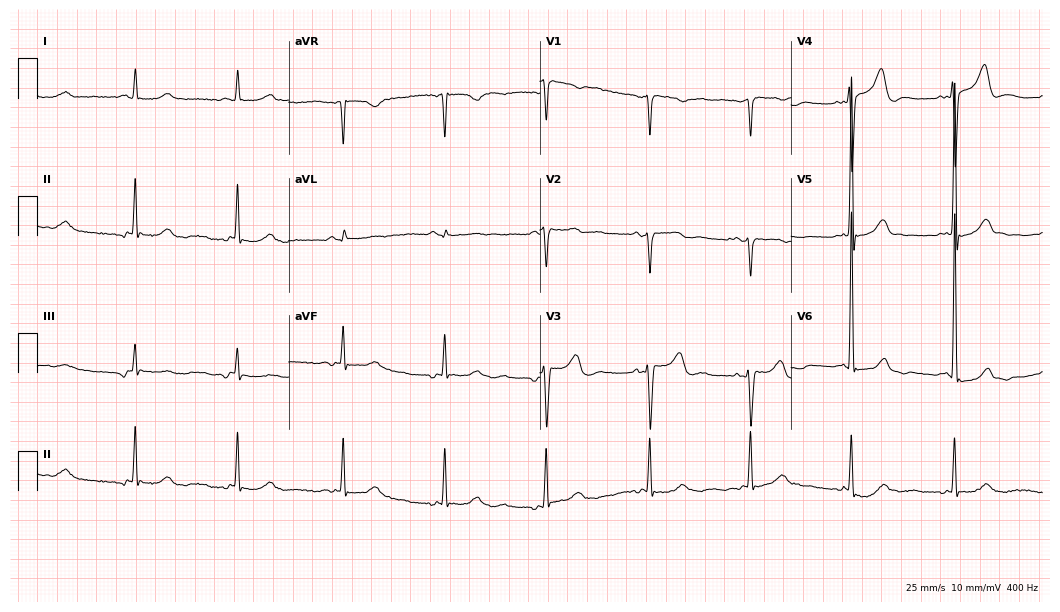
12-lead ECG (10.2-second recording at 400 Hz) from a female, 39 years old. Screened for six findings — first-degree AV block, right bundle branch block, left bundle branch block, sinus bradycardia, atrial fibrillation, sinus tachycardia — none is recorded. Findings outside these six are not listed.